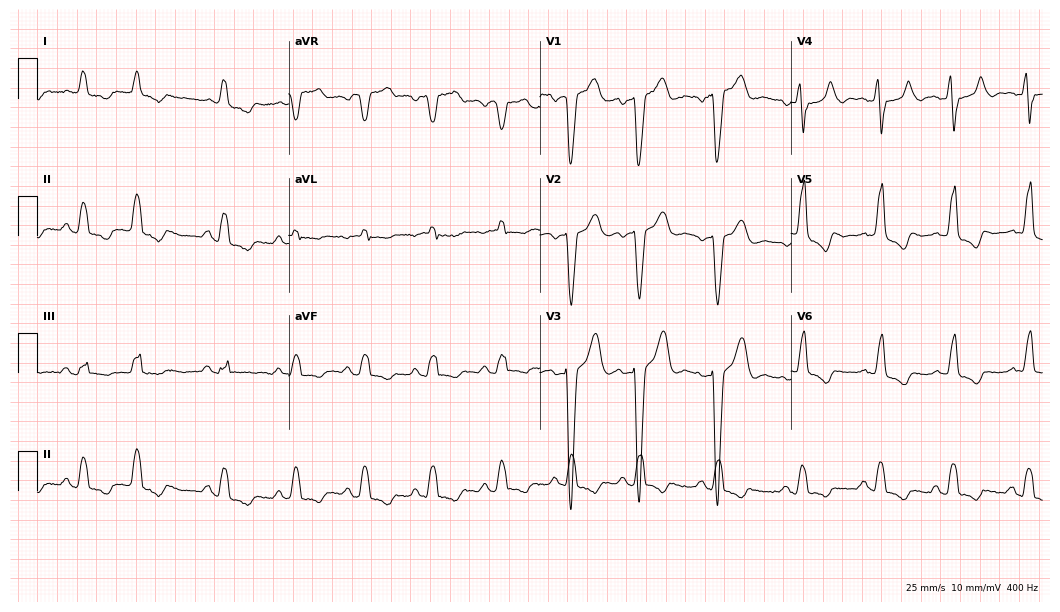
Electrocardiogram (10.2-second recording at 400 Hz), a male patient, 71 years old. Interpretation includes left bundle branch block (LBBB).